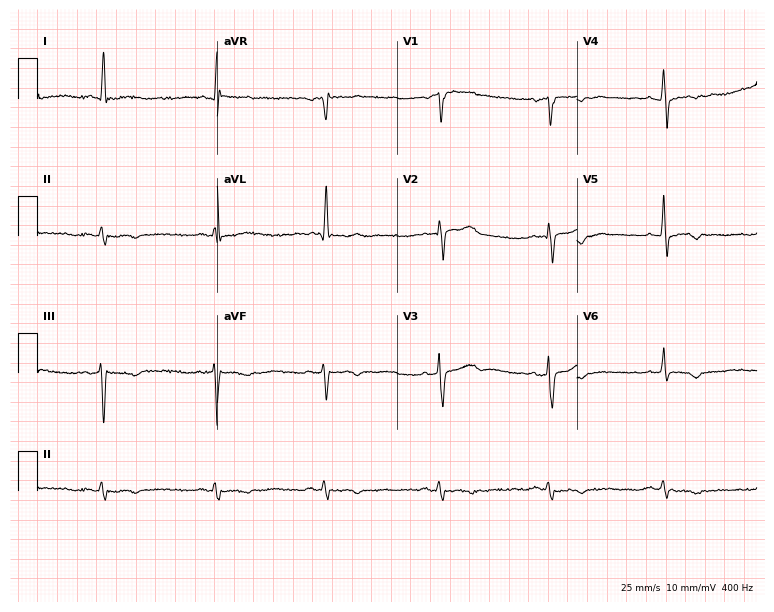
Resting 12-lead electrocardiogram. Patient: an 81-year-old male. Read as a normal ECG.